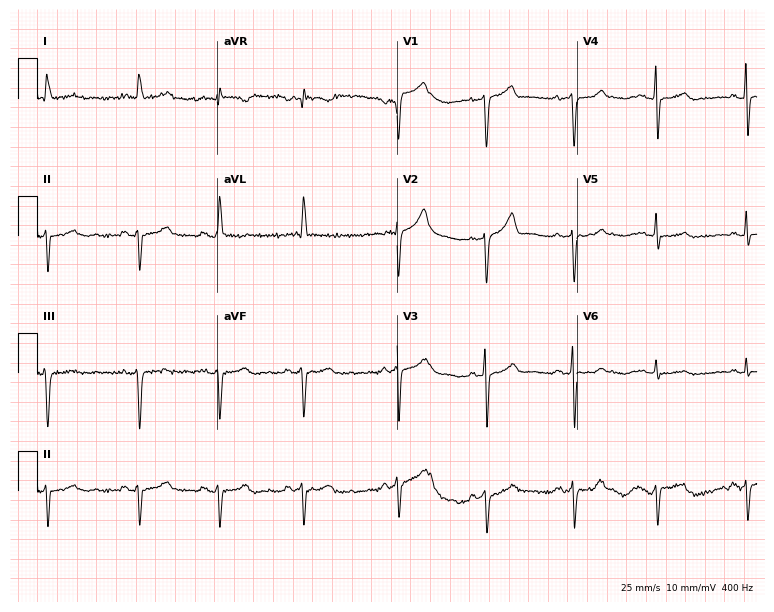
Electrocardiogram, a man, 76 years old. Of the six screened findings (first-degree AV block, right bundle branch block, left bundle branch block, sinus bradycardia, atrial fibrillation, sinus tachycardia), none is recorded.